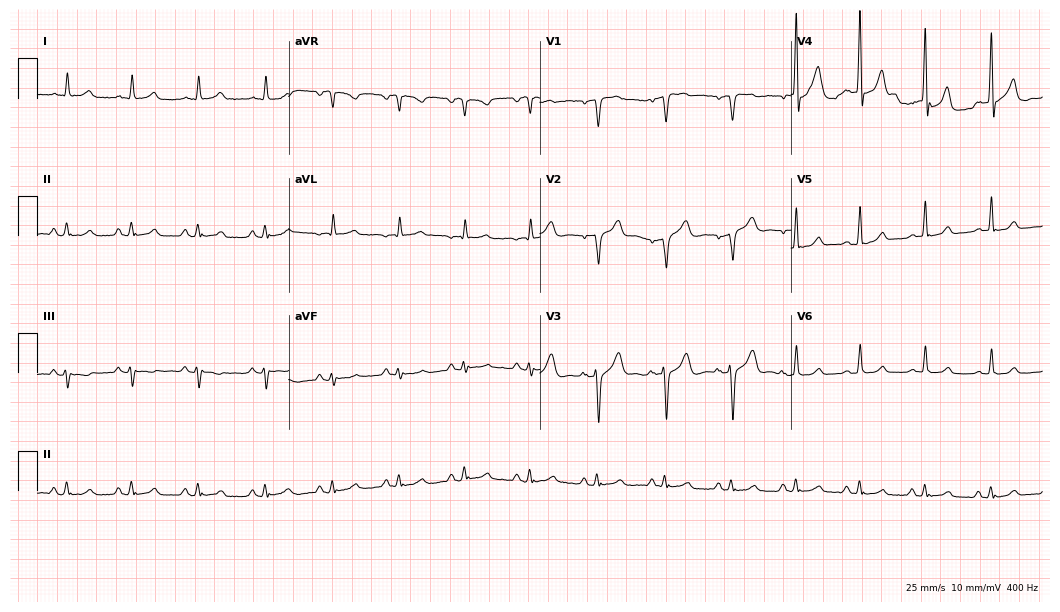
Resting 12-lead electrocardiogram (10.2-second recording at 400 Hz). Patient: a man, 71 years old. Read as a normal ECG.